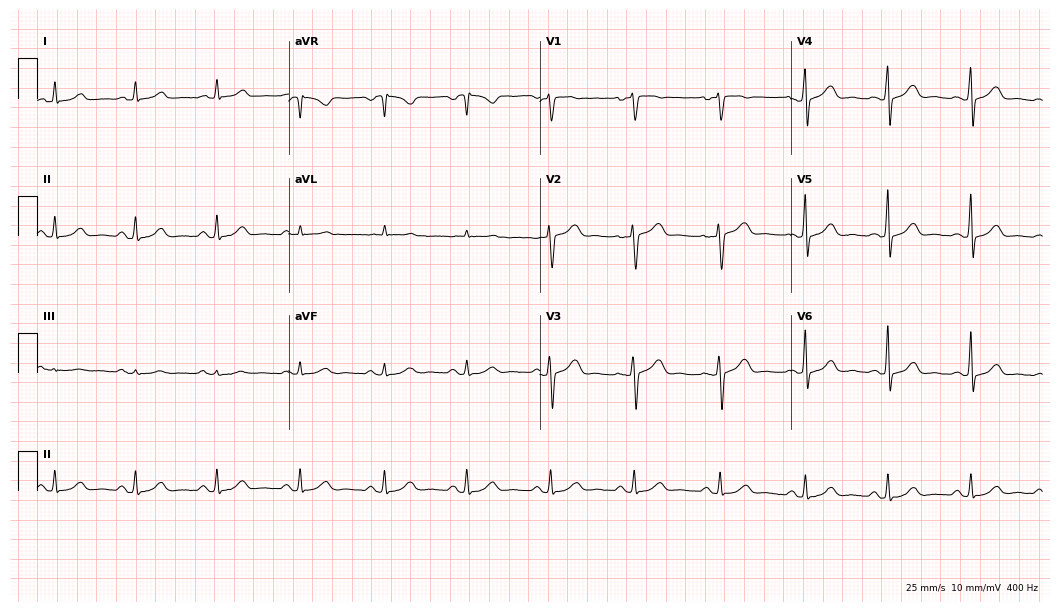
12-lead ECG (10.2-second recording at 400 Hz) from a female patient, 47 years old. Labelled as a normal ECG.